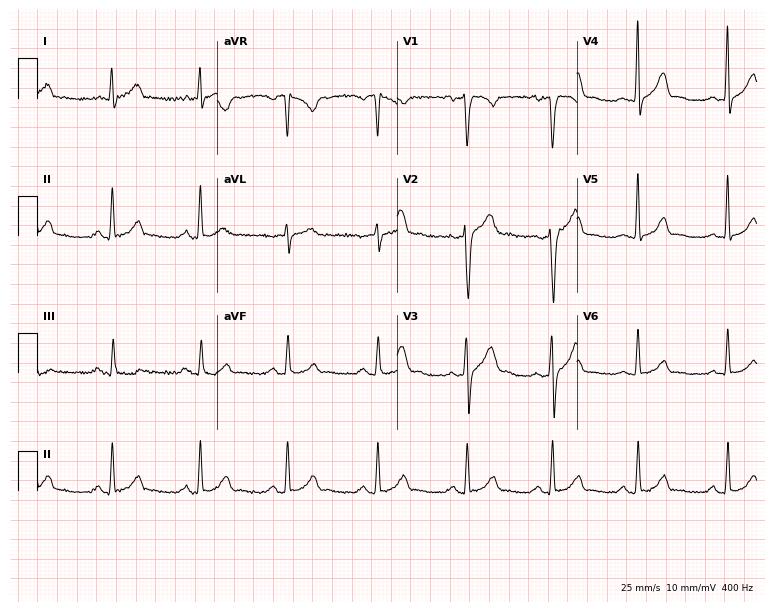
Resting 12-lead electrocardiogram. Patient: a 45-year-old male. Read as a normal ECG.